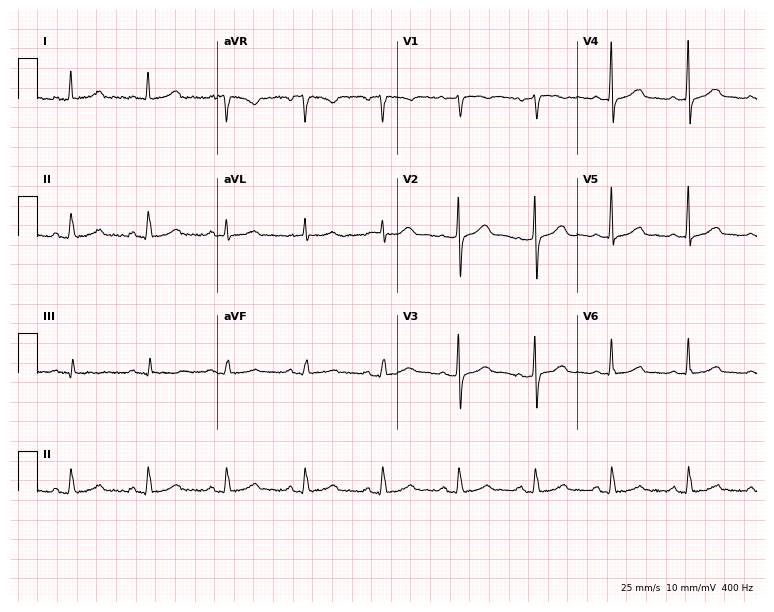
Standard 12-lead ECG recorded from a female patient, 78 years old. Read as a normal ECG.